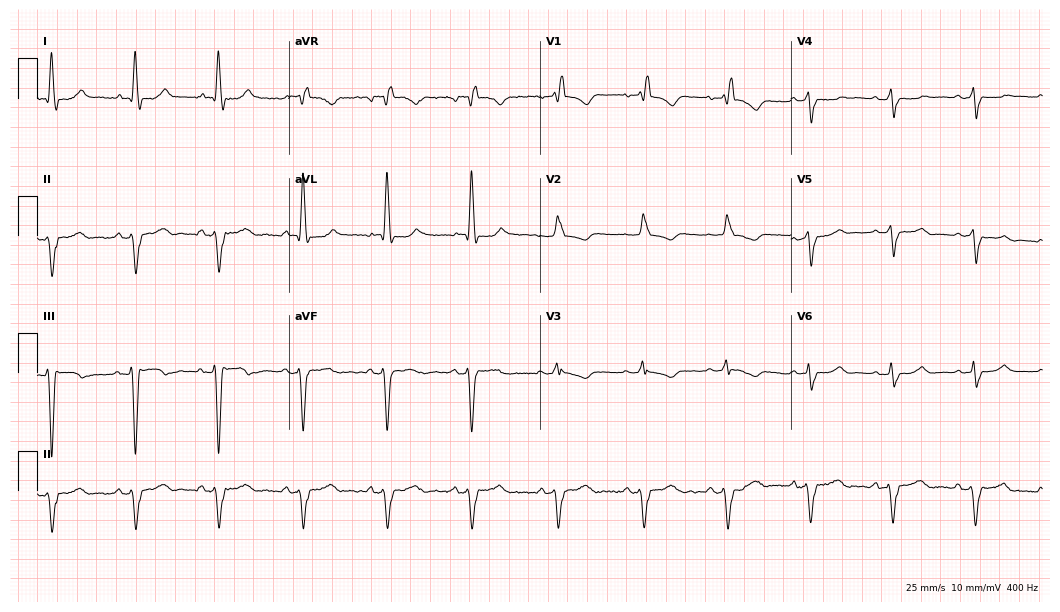
Standard 12-lead ECG recorded from a 61-year-old woman. None of these six findings is recorded: first-degree AV block, right bundle branch block, left bundle branch block, sinus bradycardia, atrial fibrillation, sinus tachycardia.